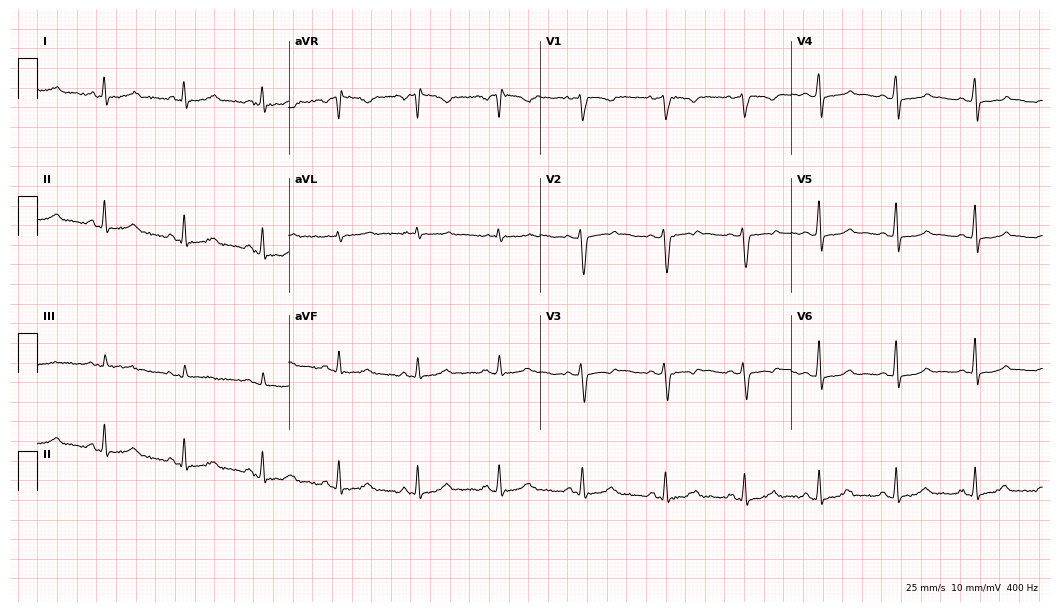
12-lead ECG (10.2-second recording at 400 Hz) from a 36-year-old female patient. Screened for six findings — first-degree AV block, right bundle branch block, left bundle branch block, sinus bradycardia, atrial fibrillation, sinus tachycardia — none is recorded.